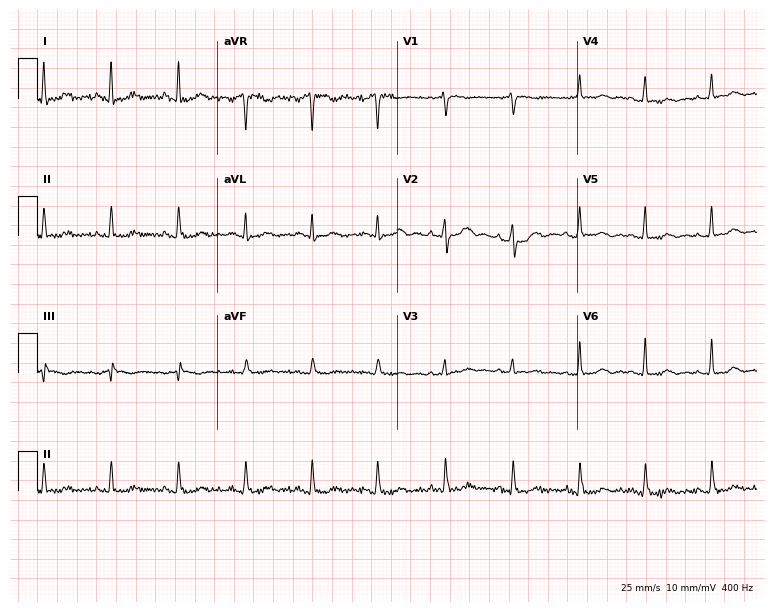
Standard 12-lead ECG recorded from a female patient, 41 years old. None of these six findings is recorded: first-degree AV block, right bundle branch block (RBBB), left bundle branch block (LBBB), sinus bradycardia, atrial fibrillation (AF), sinus tachycardia.